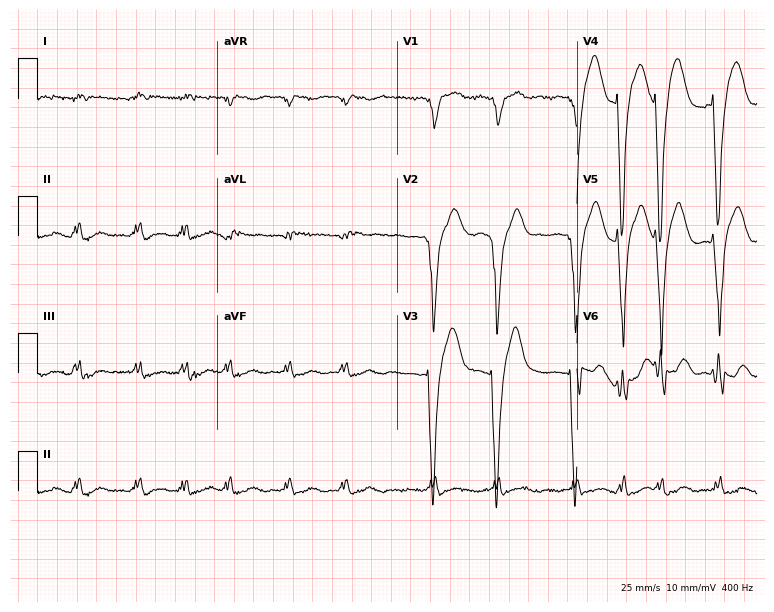
12-lead ECG from a female patient, 57 years old. Shows left bundle branch block, atrial fibrillation.